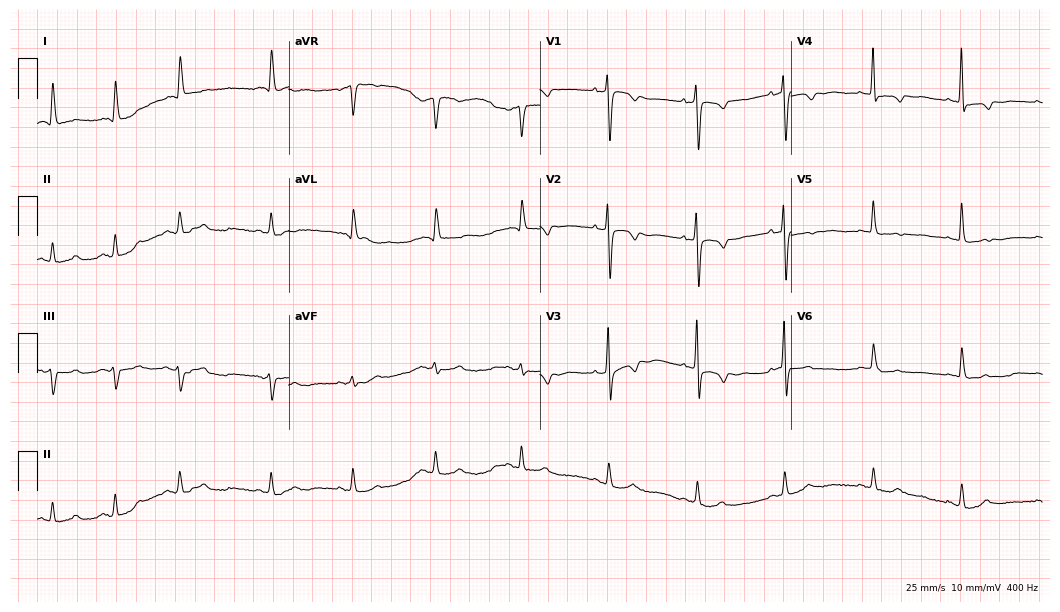
12-lead ECG from an 82-year-old female patient. Screened for six findings — first-degree AV block, right bundle branch block, left bundle branch block, sinus bradycardia, atrial fibrillation, sinus tachycardia — none is recorded. Findings outside these six are not listed.